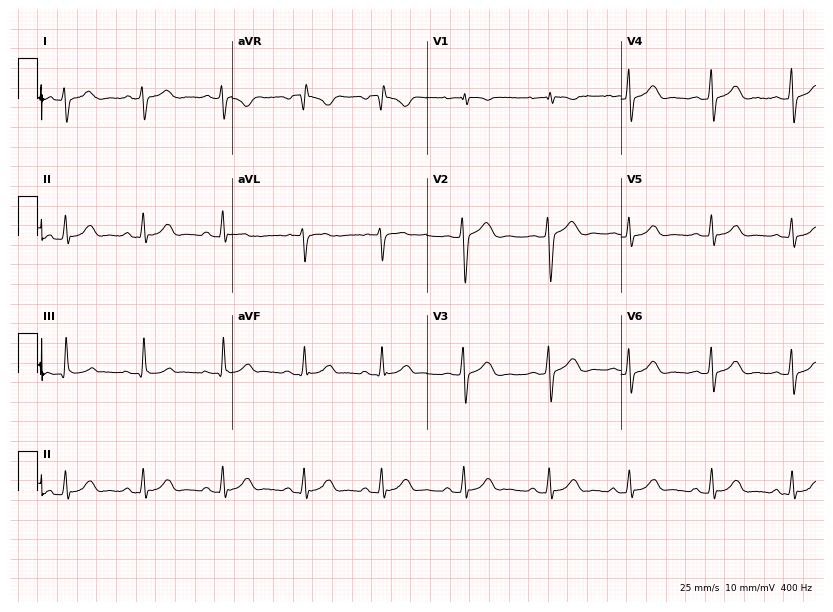
Standard 12-lead ECG recorded from a 26-year-old woman. None of these six findings is recorded: first-degree AV block, right bundle branch block (RBBB), left bundle branch block (LBBB), sinus bradycardia, atrial fibrillation (AF), sinus tachycardia.